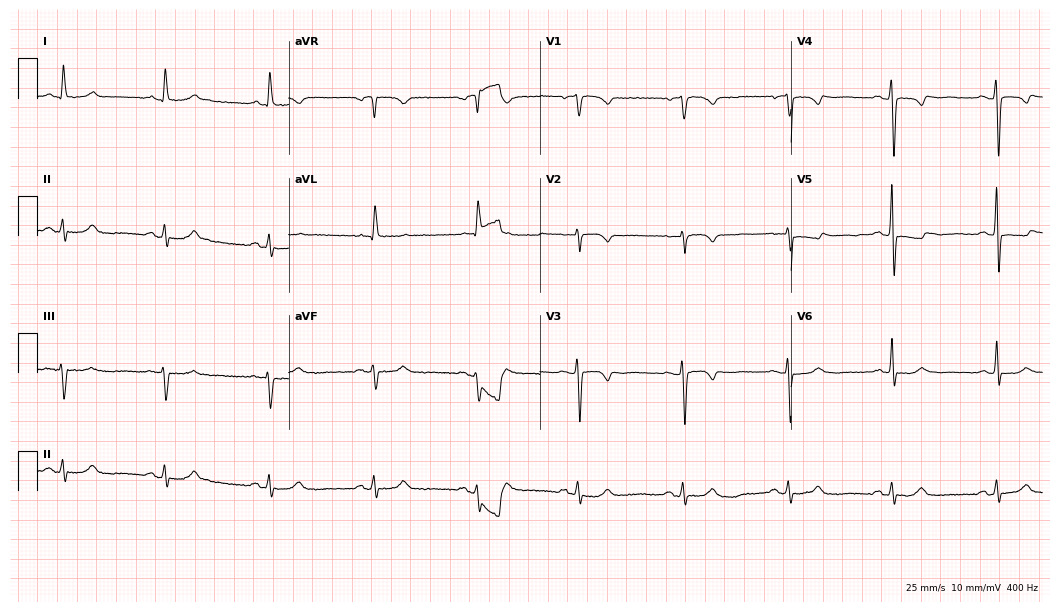
Resting 12-lead electrocardiogram. Patient: a female, 69 years old. None of these six findings is recorded: first-degree AV block, right bundle branch block (RBBB), left bundle branch block (LBBB), sinus bradycardia, atrial fibrillation (AF), sinus tachycardia. Other findings, if any, are not listed.